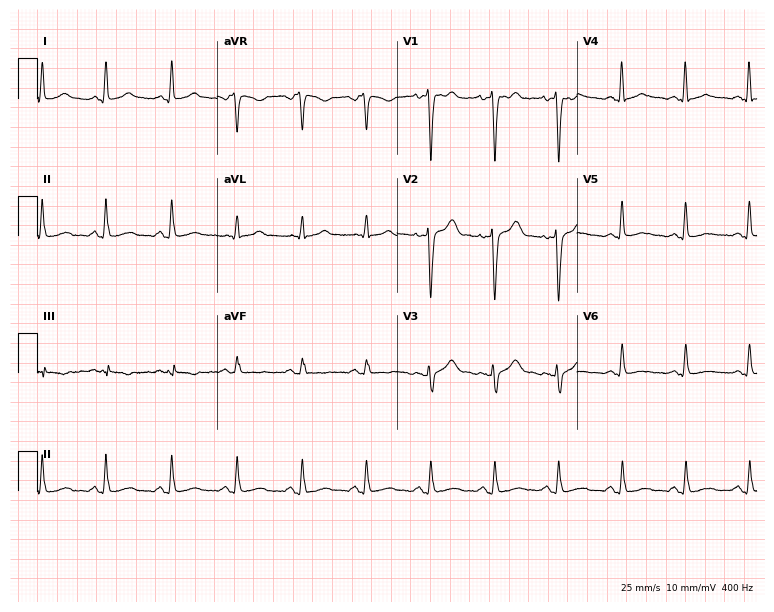
Electrocardiogram (7.3-second recording at 400 Hz), a female, 65 years old. Of the six screened findings (first-degree AV block, right bundle branch block (RBBB), left bundle branch block (LBBB), sinus bradycardia, atrial fibrillation (AF), sinus tachycardia), none is recorded. Only these six findings were labelled.